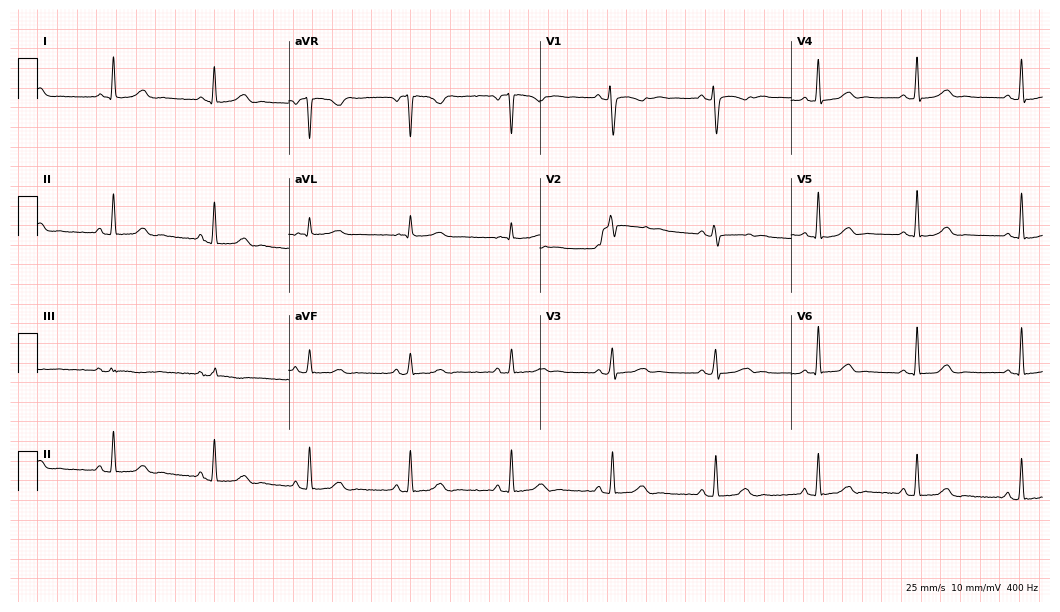
Electrocardiogram, a female patient, 54 years old. Overall reading on record: normal ECG.